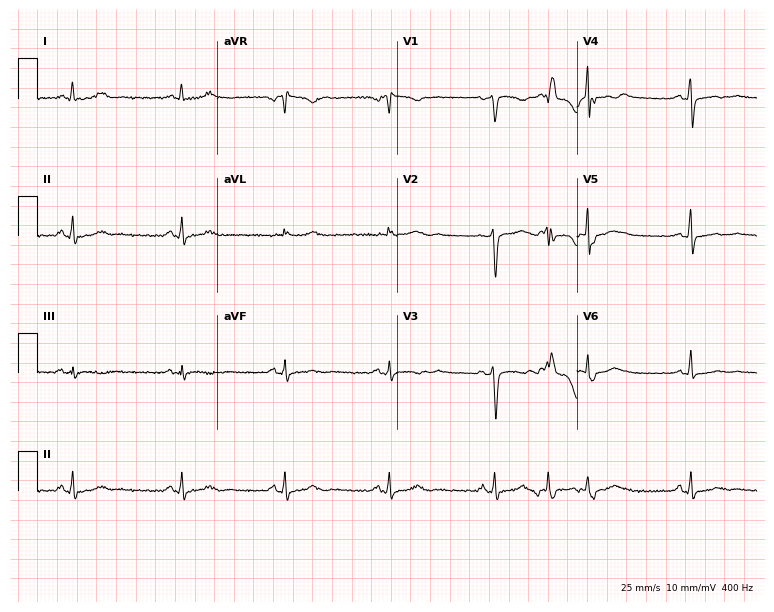
Electrocardiogram (7.3-second recording at 400 Hz), a woman, 49 years old. Of the six screened findings (first-degree AV block, right bundle branch block (RBBB), left bundle branch block (LBBB), sinus bradycardia, atrial fibrillation (AF), sinus tachycardia), none is recorded.